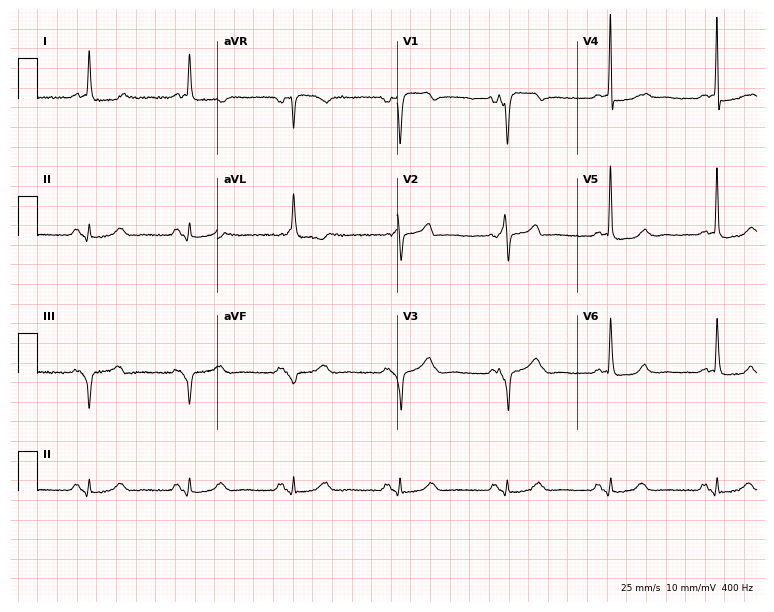
Standard 12-lead ECG recorded from an 81-year-old female patient. None of these six findings is recorded: first-degree AV block, right bundle branch block, left bundle branch block, sinus bradycardia, atrial fibrillation, sinus tachycardia. Other findings, if any, are not listed.